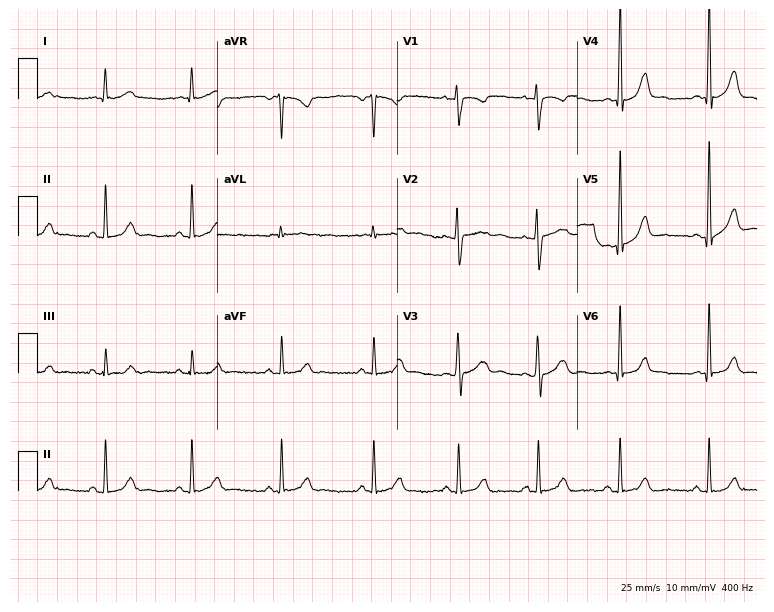
Electrocardiogram, a 32-year-old female patient. Of the six screened findings (first-degree AV block, right bundle branch block, left bundle branch block, sinus bradycardia, atrial fibrillation, sinus tachycardia), none is recorded.